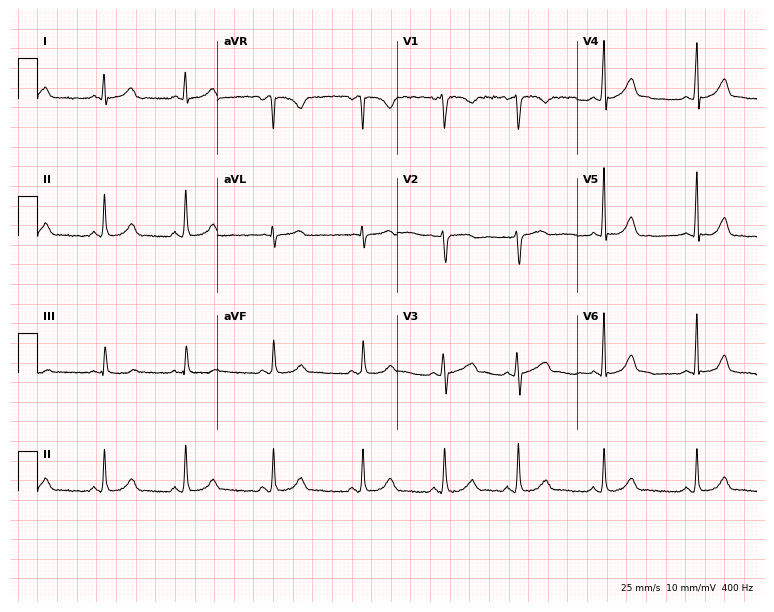
Resting 12-lead electrocardiogram (7.3-second recording at 400 Hz). Patient: a woman, 17 years old. Read as a normal ECG.